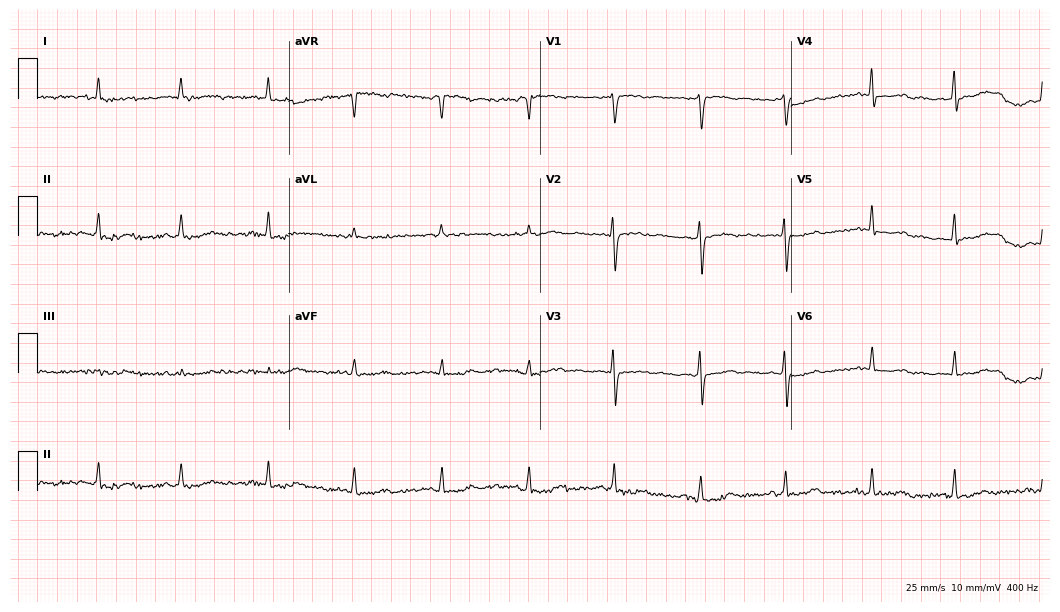
Electrocardiogram (10.2-second recording at 400 Hz), a female, 52 years old. Of the six screened findings (first-degree AV block, right bundle branch block, left bundle branch block, sinus bradycardia, atrial fibrillation, sinus tachycardia), none is recorded.